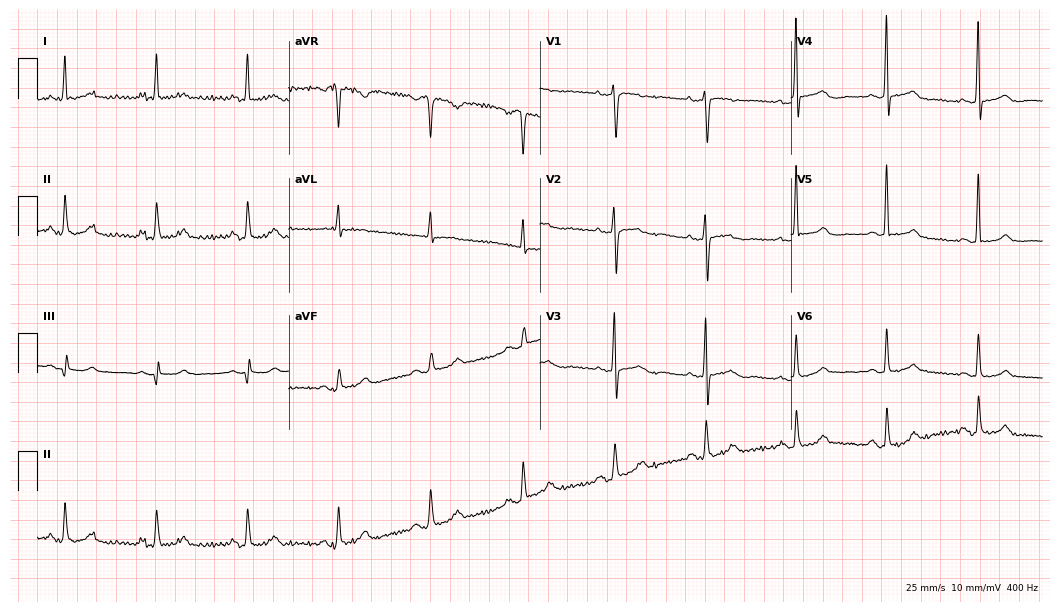
Electrocardiogram, an 80-year-old female patient. Of the six screened findings (first-degree AV block, right bundle branch block (RBBB), left bundle branch block (LBBB), sinus bradycardia, atrial fibrillation (AF), sinus tachycardia), none is recorded.